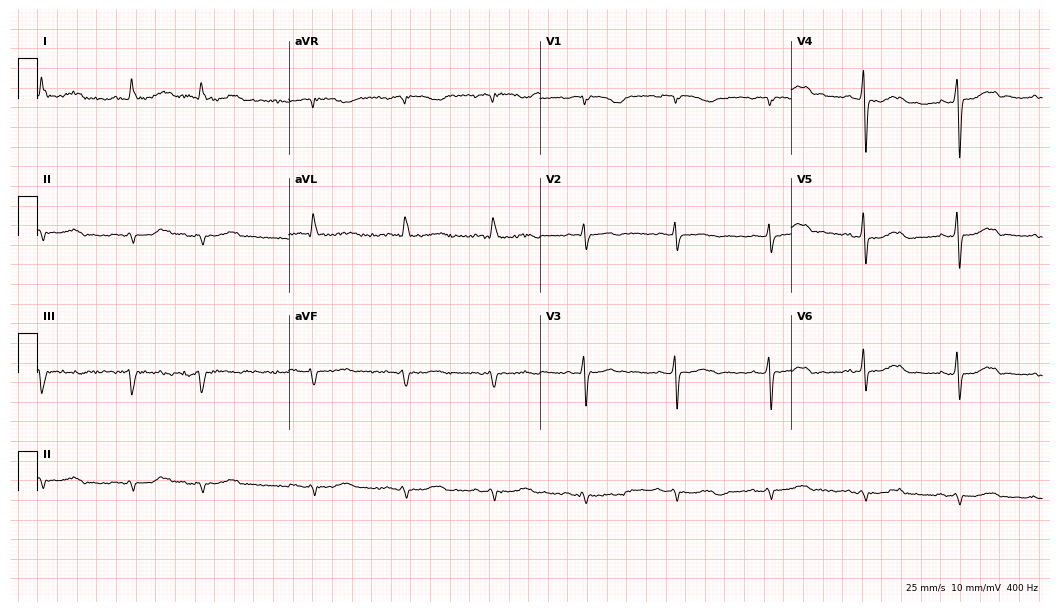
12-lead ECG (10.2-second recording at 400 Hz) from a male patient, 83 years old. Screened for six findings — first-degree AV block, right bundle branch block, left bundle branch block, sinus bradycardia, atrial fibrillation, sinus tachycardia — none is recorded. Other findings, if any, are not listed.